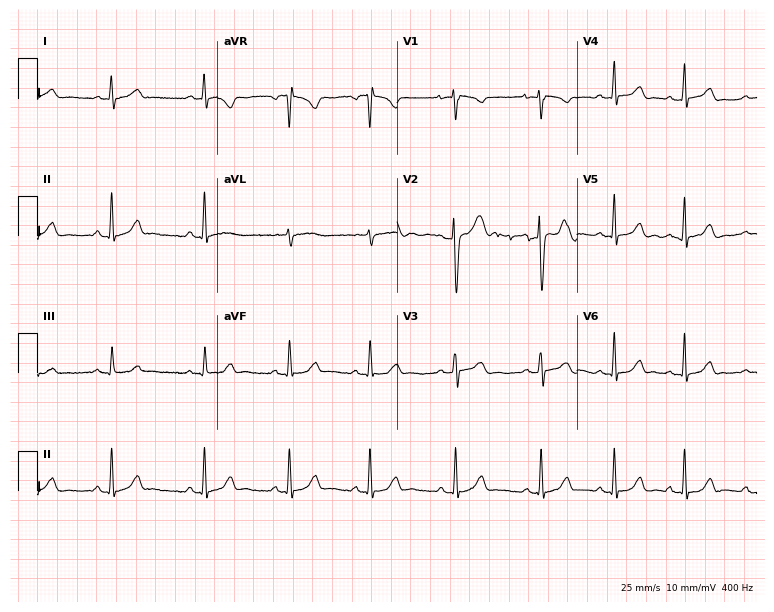
Standard 12-lead ECG recorded from a female patient, 20 years old. Read as a normal ECG.